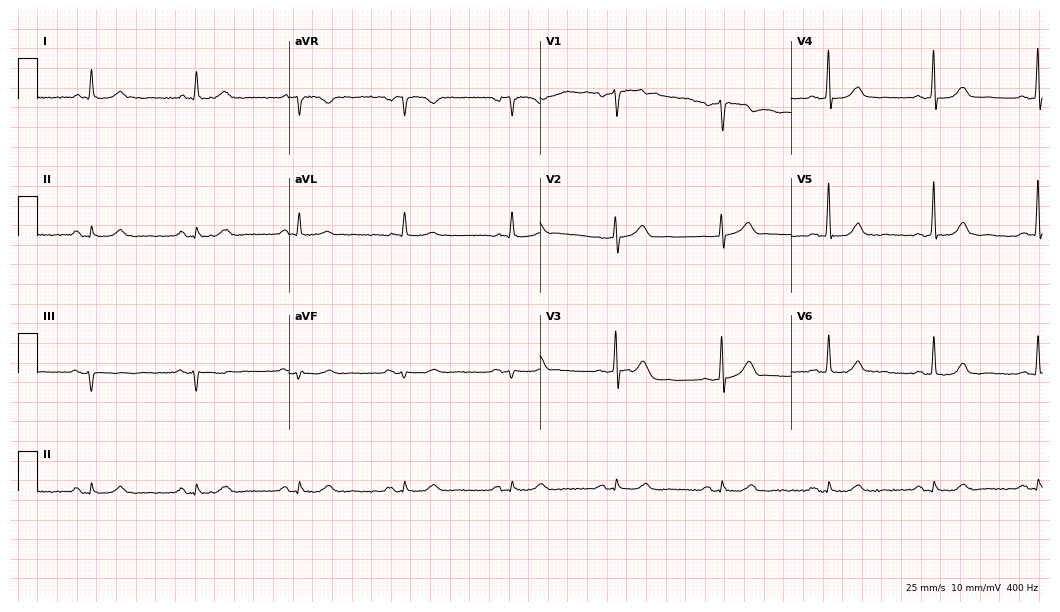
12-lead ECG from a 71-year-old male. No first-degree AV block, right bundle branch block, left bundle branch block, sinus bradycardia, atrial fibrillation or sinus tachycardia recorded for this tracing.